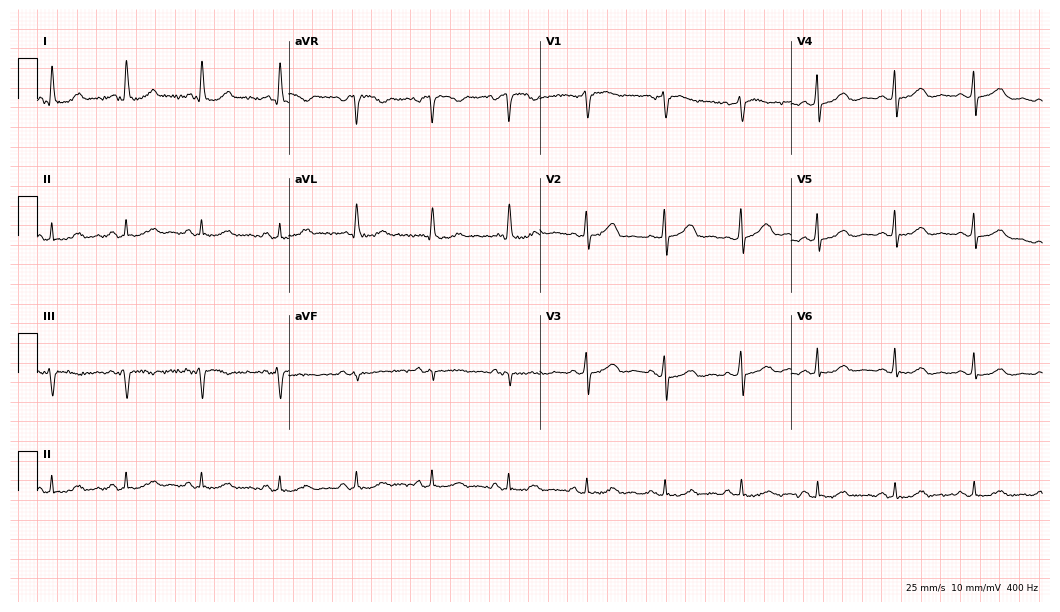
Resting 12-lead electrocardiogram (10.2-second recording at 400 Hz). Patient: a female, 69 years old. Read as a normal ECG.